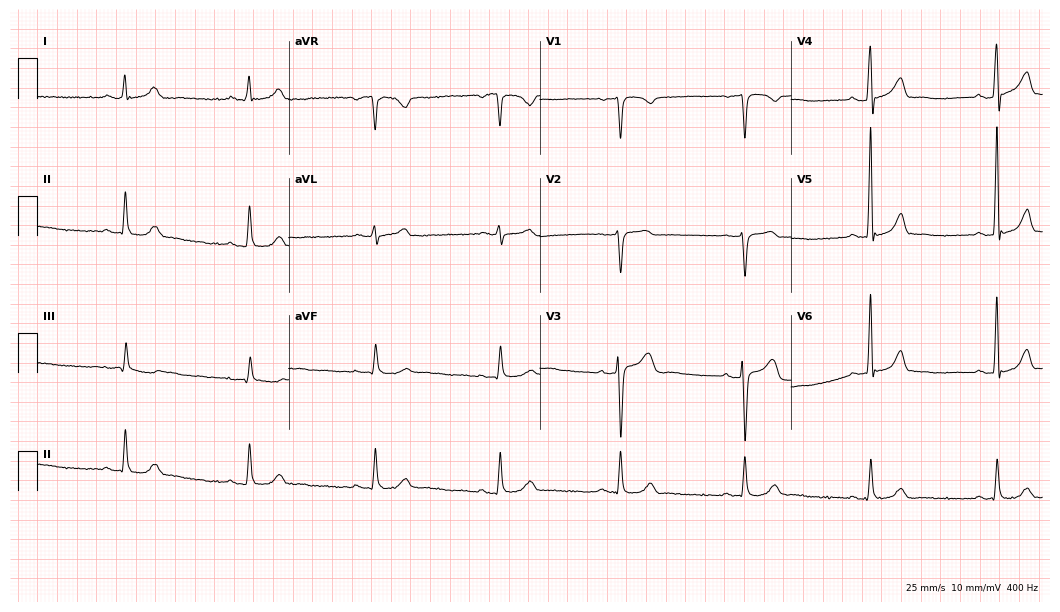
Standard 12-lead ECG recorded from a male, 54 years old (10.2-second recording at 400 Hz). The tracing shows sinus bradycardia (a sinus rate of 50 beats per minute or less).